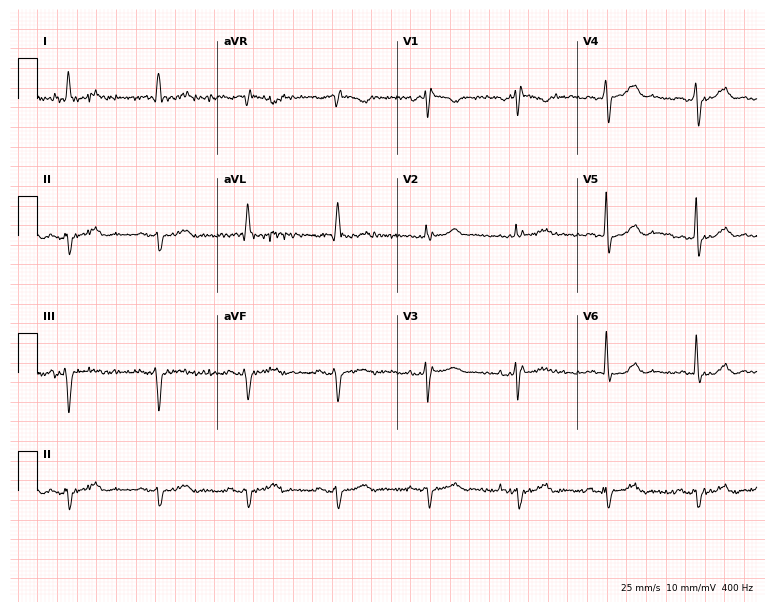
ECG — a 77-year-old man. Screened for six findings — first-degree AV block, right bundle branch block (RBBB), left bundle branch block (LBBB), sinus bradycardia, atrial fibrillation (AF), sinus tachycardia — none is recorded. Only these six findings were labelled.